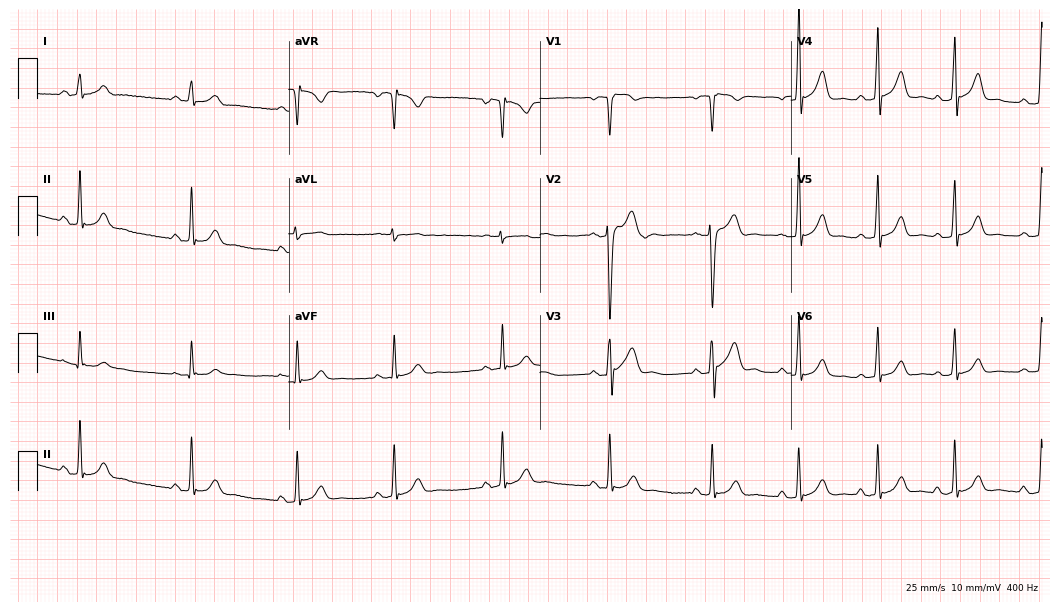
Standard 12-lead ECG recorded from a female patient, 18 years old. None of these six findings is recorded: first-degree AV block, right bundle branch block, left bundle branch block, sinus bradycardia, atrial fibrillation, sinus tachycardia. Other findings, if any, are not listed.